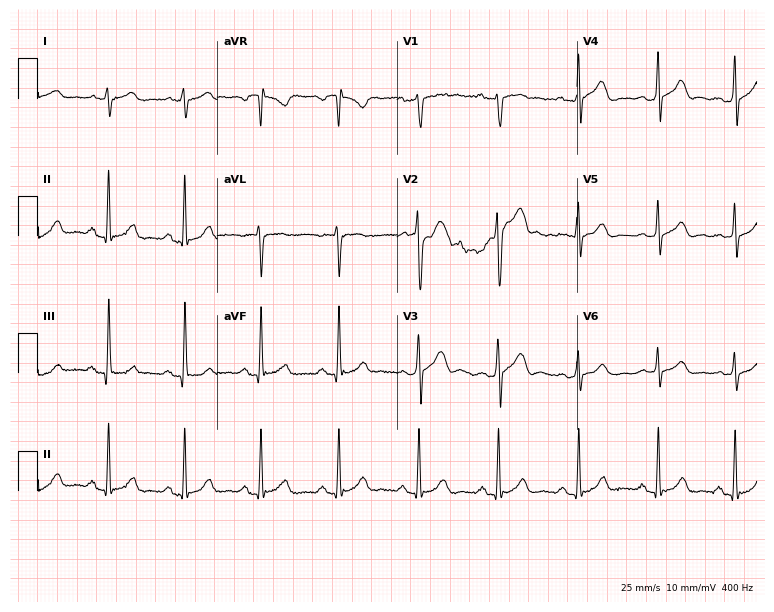
12-lead ECG from a 32-year-old man (7.3-second recording at 400 Hz). No first-degree AV block, right bundle branch block, left bundle branch block, sinus bradycardia, atrial fibrillation or sinus tachycardia recorded for this tracing.